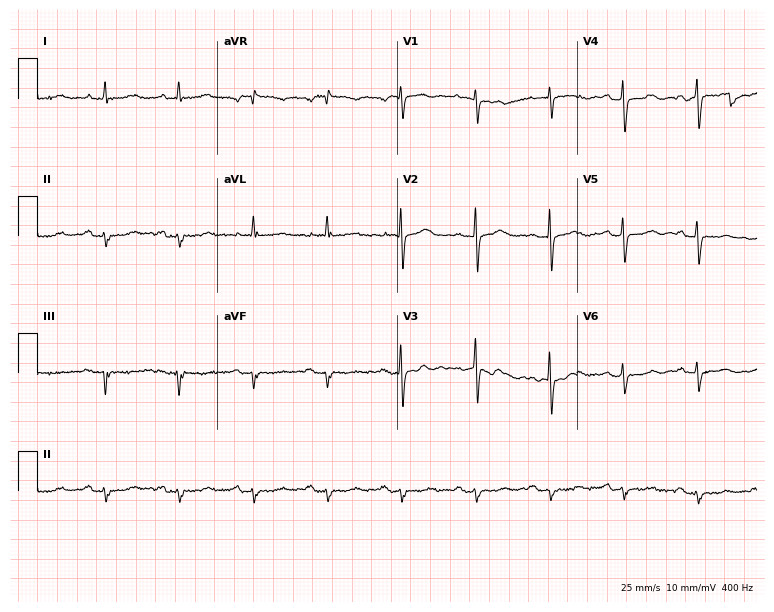
Standard 12-lead ECG recorded from a female patient, 80 years old (7.3-second recording at 400 Hz). None of these six findings is recorded: first-degree AV block, right bundle branch block (RBBB), left bundle branch block (LBBB), sinus bradycardia, atrial fibrillation (AF), sinus tachycardia.